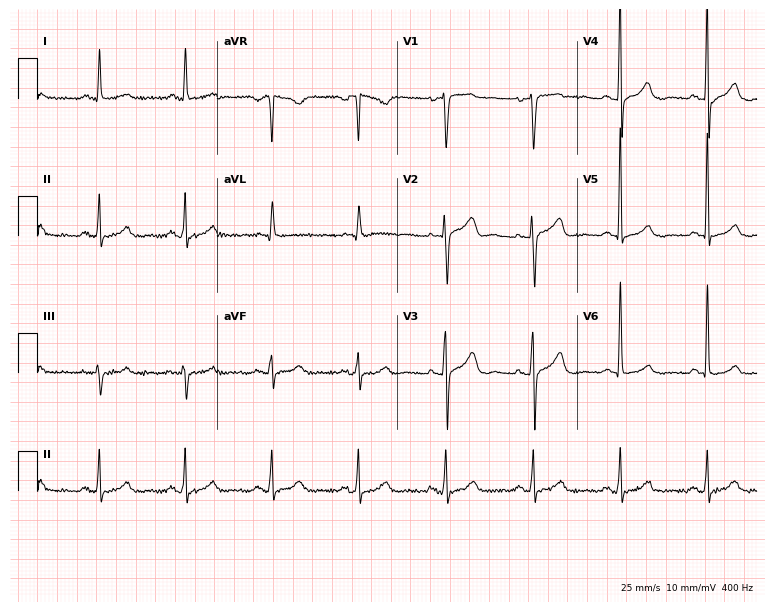
12-lead ECG from a woman, 62 years old. No first-degree AV block, right bundle branch block, left bundle branch block, sinus bradycardia, atrial fibrillation or sinus tachycardia recorded for this tracing. Findings outside these six are not listed.